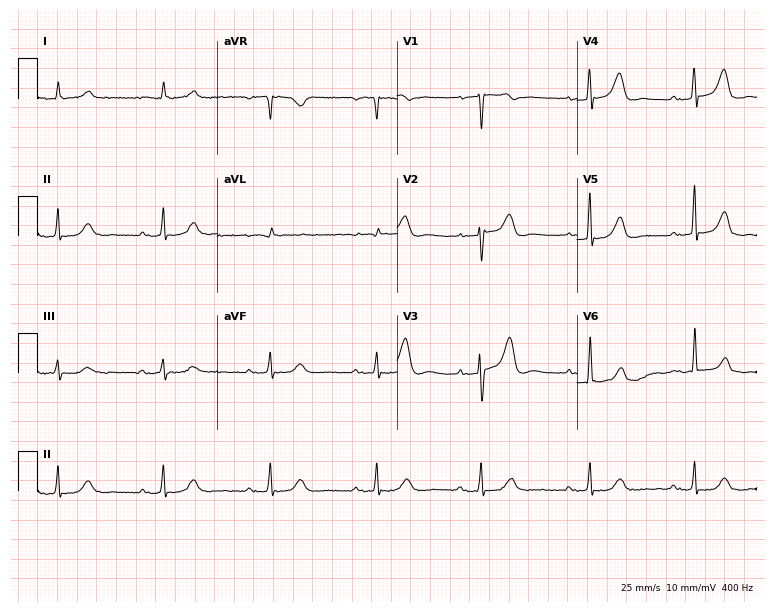
Resting 12-lead electrocardiogram. Patient: a male, 73 years old. The tracing shows first-degree AV block.